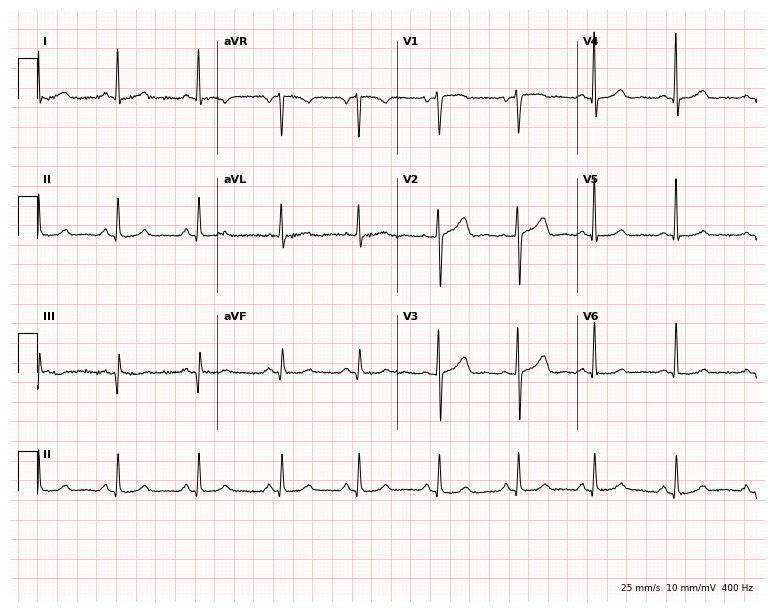
Resting 12-lead electrocardiogram (7.3-second recording at 400 Hz). Patient: a 46-year-old female. None of these six findings is recorded: first-degree AV block, right bundle branch block, left bundle branch block, sinus bradycardia, atrial fibrillation, sinus tachycardia.